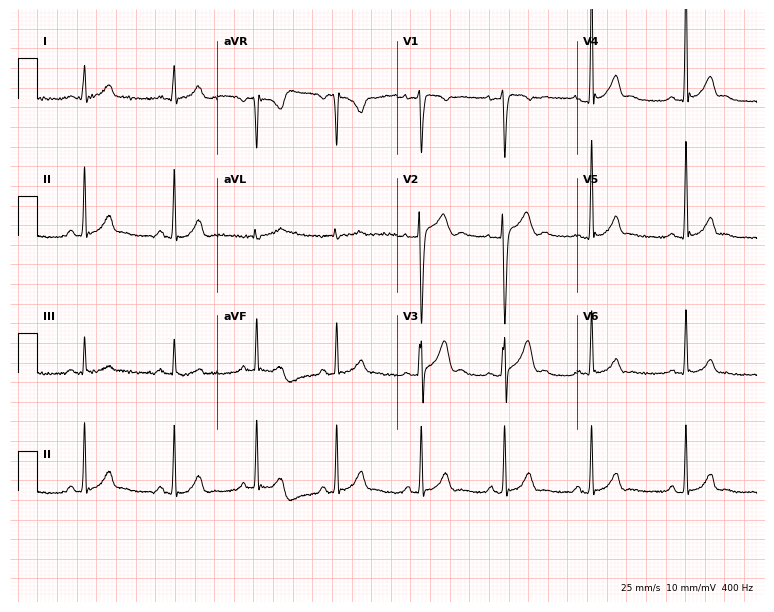
Electrocardiogram (7.3-second recording at 400 Hz), a 21-year-old man. Of the six screened findings (first-degree AV block, right bundle branch block, left bundle branch block, sinus bradycardia, atrial fibrillation, sinus tachycardia), none is recorded. Other findings, if any, are not listed.